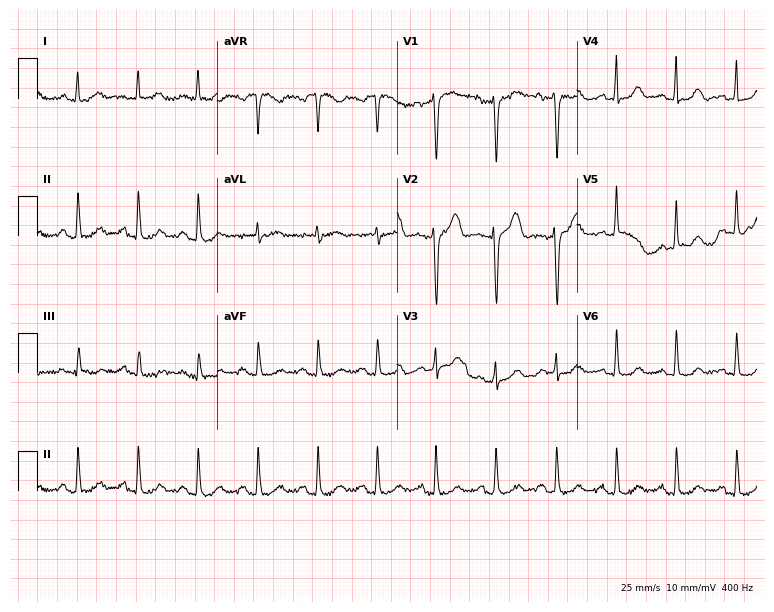
12-lead ECG (7.3-second recording at 400 Hz) from a female patient, 57 years old. Labelled as a normal ECG.